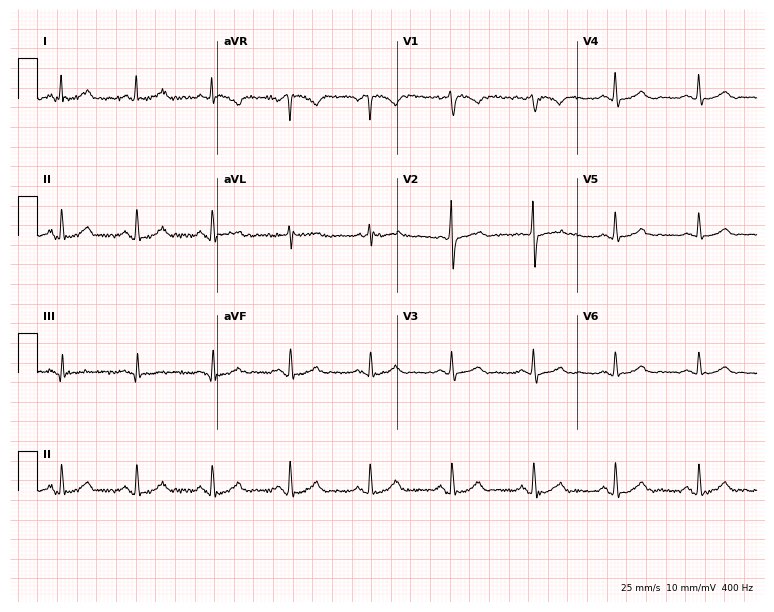
Standard 12-lead ECG recorded from a 60-year-old female patient. Read as a normal ECG.